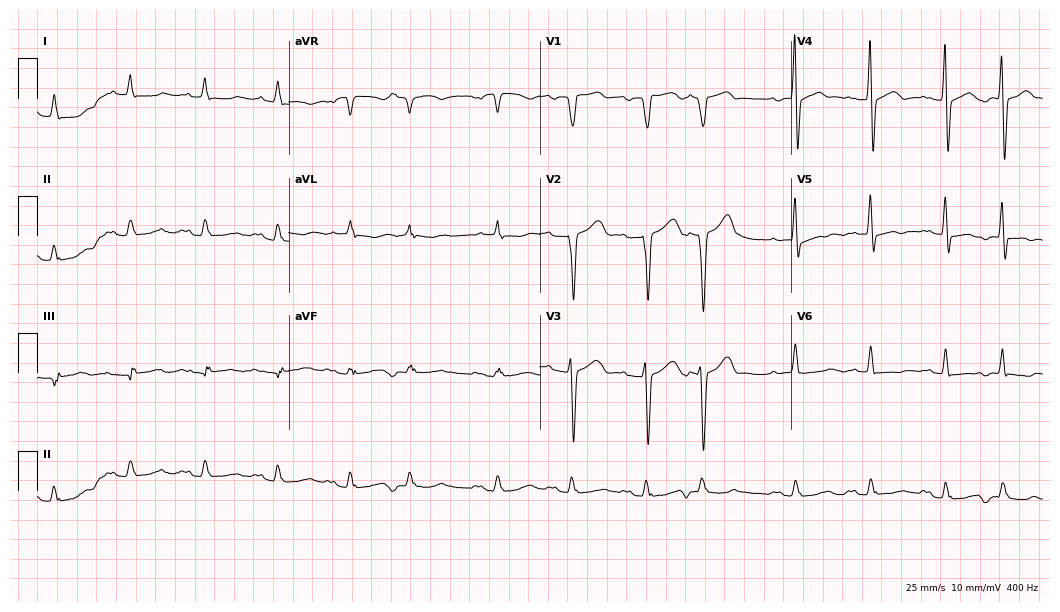
12-lead ECG from a 68-year-old man (10.2-second recording at 400 Hz). No first-degree AV block, right bundle branch block, left bundle branch block, sinus bradycardia, atrial fibrillation or sinus tachycardia recorded for this tracing. Findings outside these six are not listed.